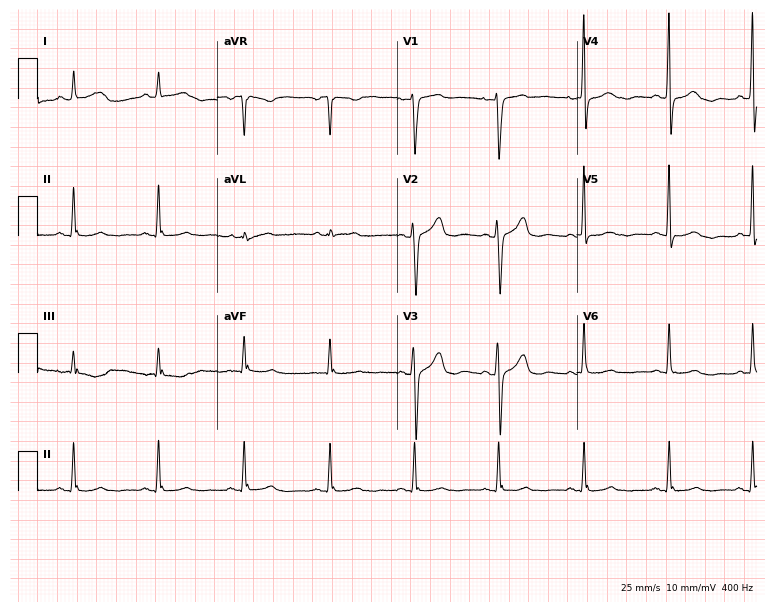
12-lead ECG (7.3-second recording at 400 Hz) from a woman, 64 years old. Screened for six findings — first-degree AV block, right bundle branch block, left bundle branch block, sinus bradycardia, atrial fibrillation, sinus tachycardia — none is recorded.